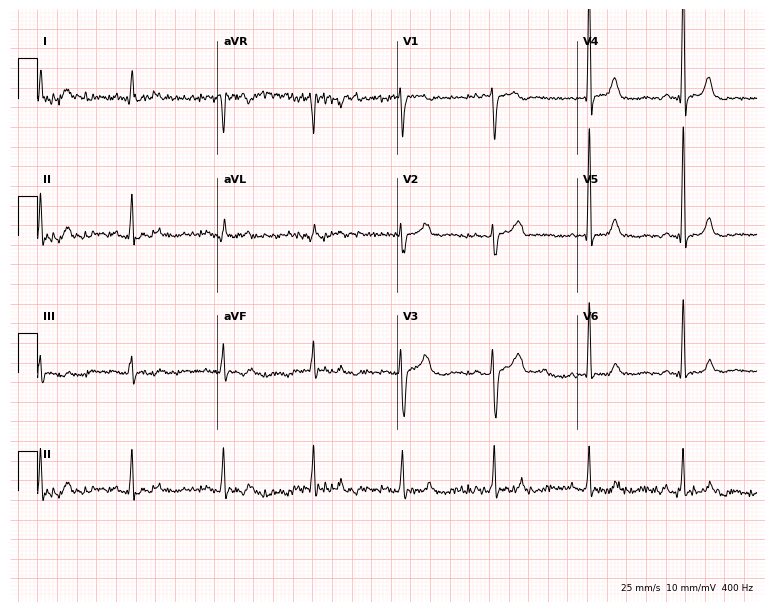
12-lead ECG from a woman, 55 years old (7.3-second recording at 400 Hz). No first-degree AV block, right bundle branch block (RBBB), left bundle branch block (LBBB), sinus bradycardia, atrial fibrillation (AF) or sinus tachycardia recorded for this tracing.